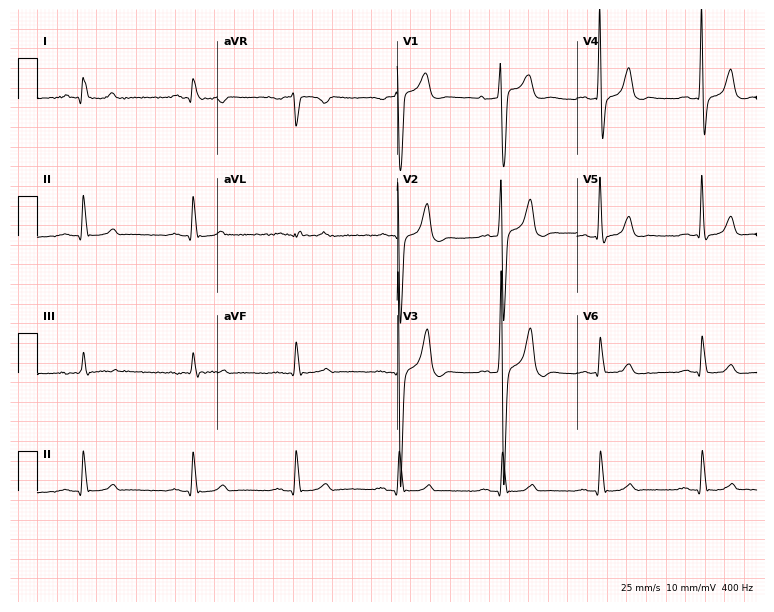
Electrocardiogram (7.3-second recording at 400 Hz), a male patient, 46 years old. Of the six screened findings (first-degree AV block, right bundle branch block (RBBB), left bundle branch block (LBBB), sinus bradycardia, atrial fibrillation (AF), sinus tachycardia), none is recorded.